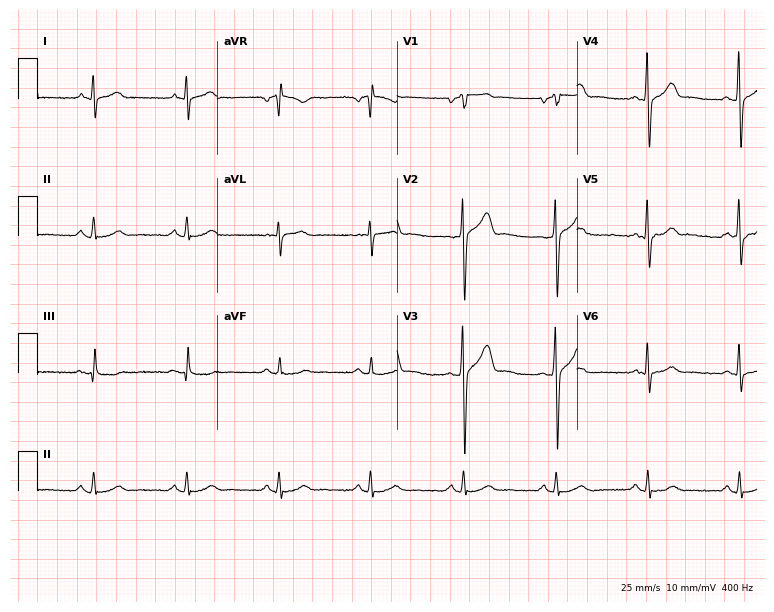
Standard 12-lead ECG recorded from a woman, 52 years old. Read as a normal ECG.